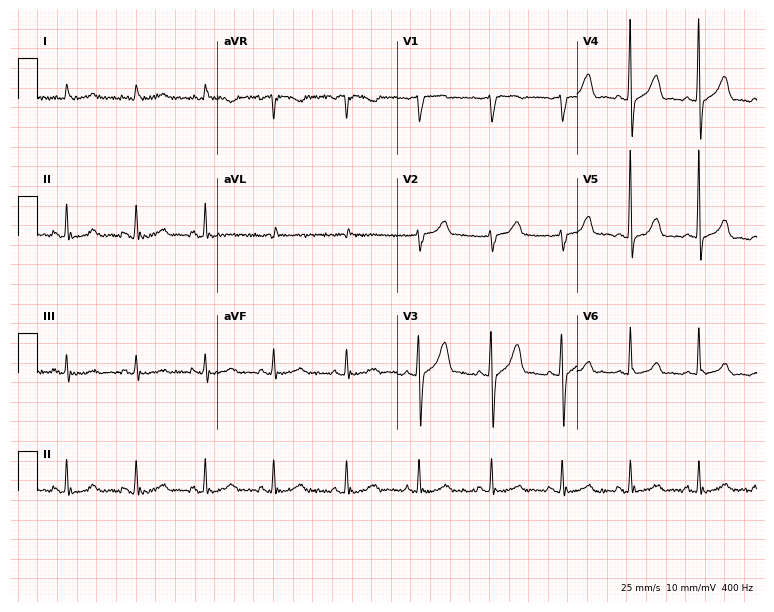
Electrocardiogram, an 84-year-old man. Overall reading on record: normal ECG.